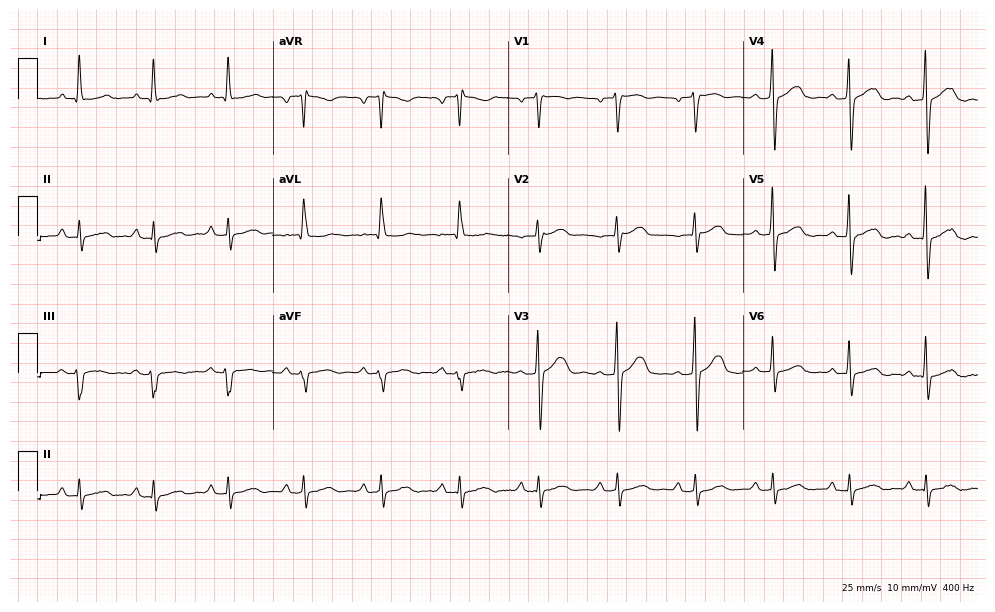
Resting 12-lead electrocardiogram. Patient: a 65-year-old man. None of these six findings is recorded: first-degree AV block, right bundle branch block, left bundle branch block, sinus bradycardia, atrial fibrillation, sinus tachycardia. Other findings, if any, are not listed.